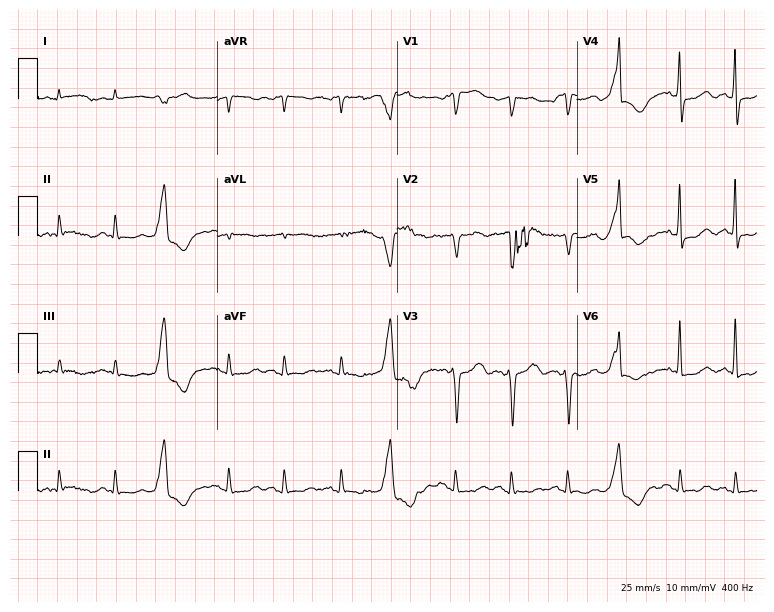
Resting 12-lead electrocardiogram. Patient: a 36-year-old male. None of these six findings is recorded: first-degree AV block, right bundle branch block, left bundle branch block, sinus bradycardia, atrial fibrillation, sinus tachycardia.